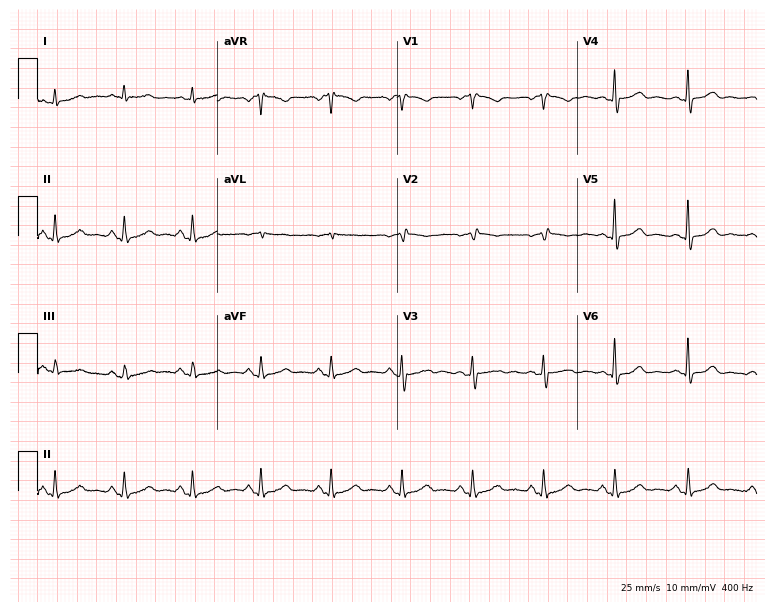
Standard 12-lead ECG recorded from a female, 61 years old. Read as a normal ECG.